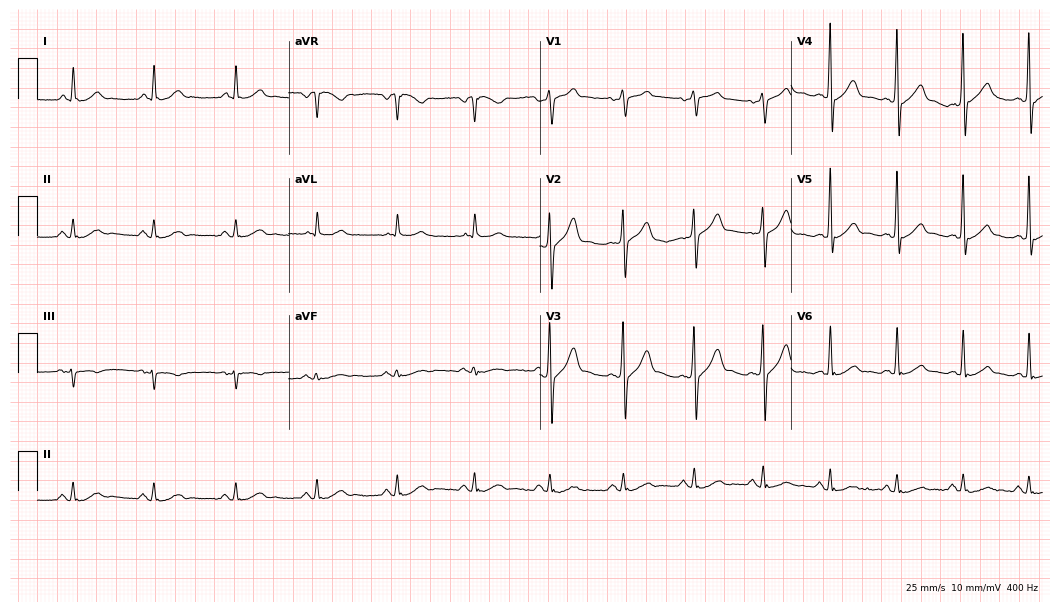
Resting 12-lead electrocardiogram (10.2-second recording at 400 Hz). Patient: a 49-year-old male. None of these six findings is recorded: first-degree AV block, right bundle branch block, left bundle branch block, sinus bradycardia, atrial fibrillation, sinus tachycardia.